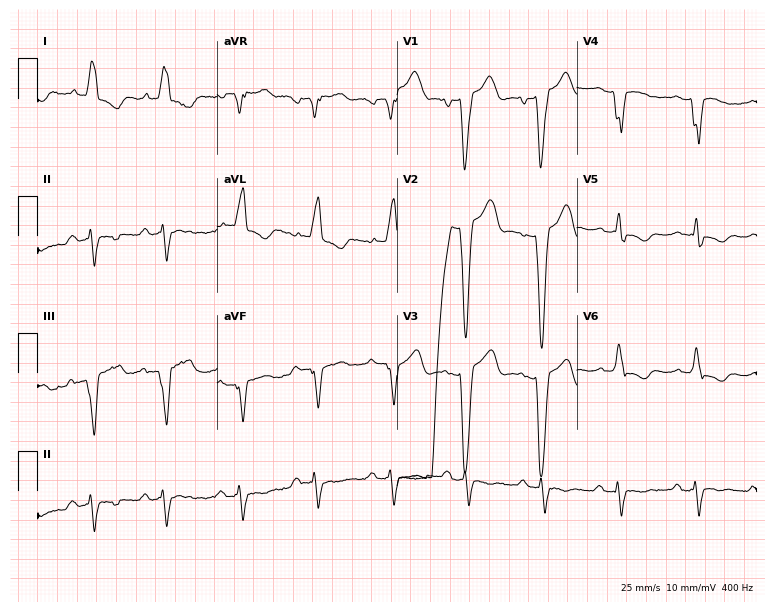
Resting 12-lead electrocardiogram (7.3-second recording at 400 Hz). Patient: a male, 67 years old. The tracing shows left bundle branch block (LBBB).